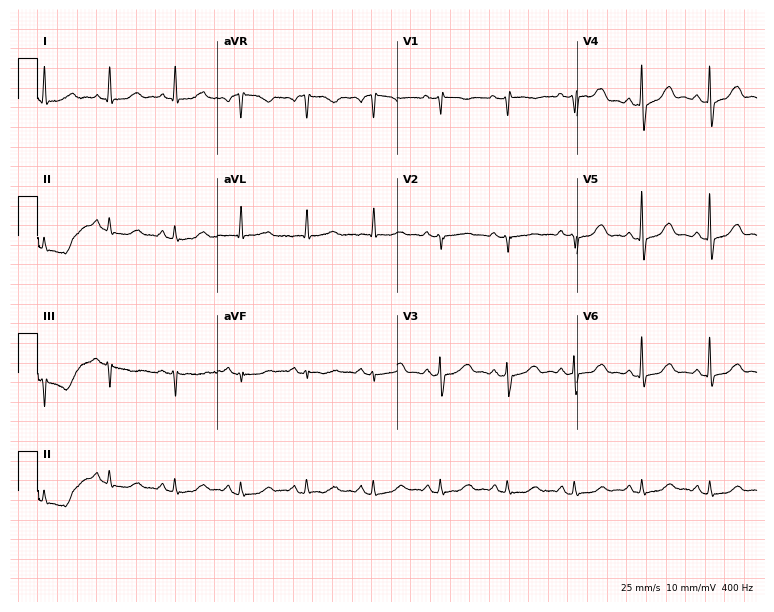
Standard 12-lead ECG recorded from a female patient, 84 years old (7.3-second recording at 400 Hz). None of these six findings is recorded: first-degree AV block, right bundle branch block (RBBB), left bundle branch block (LBBB), sinus bradycardia, atrial fibrillation (AF), sinus tachycardia. Findings outside these six are not listed.